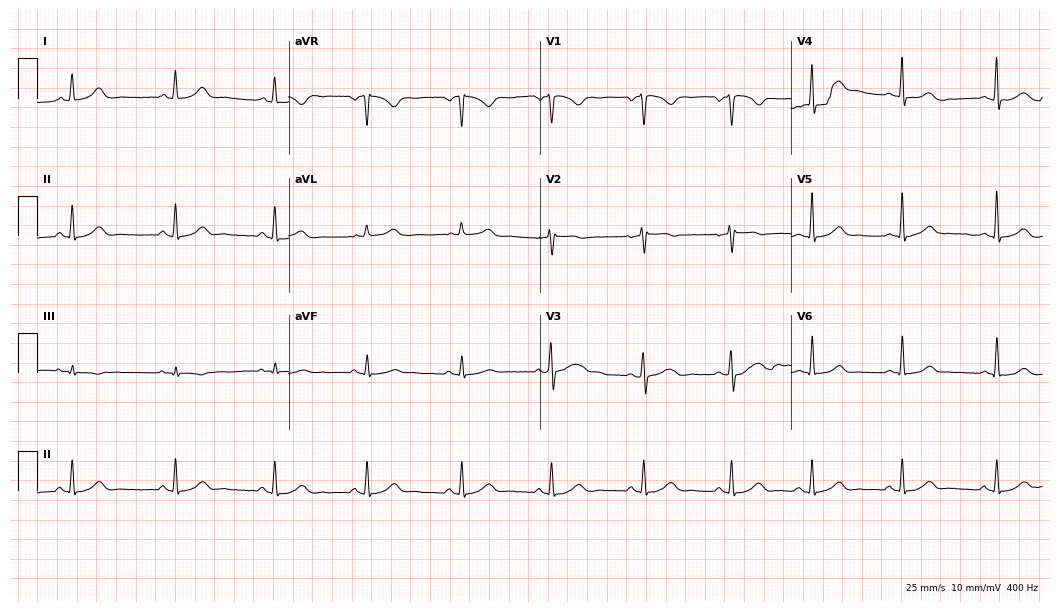
12-lead ECG from a 39-year-old female. Screened for six findings — first-degree AV block, right bundle branch block, left bundle branch block, sinus bradycardia, atrial fibrillation, sinus tachycardia — none is recorded.